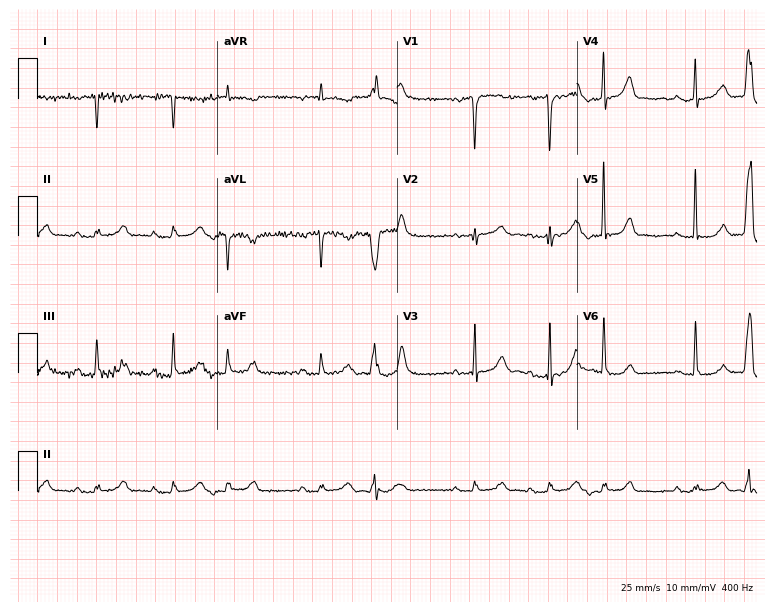
12-lead ECG from a 79-year-old man. No first-degree AV block, right bundle branch block (RBBB), left bundle branch block (LBBB), sinus bradycardia, atrial fibrillation (AF) or sinus tachycardia recorded for this tracing. Only these six findings were labelled.